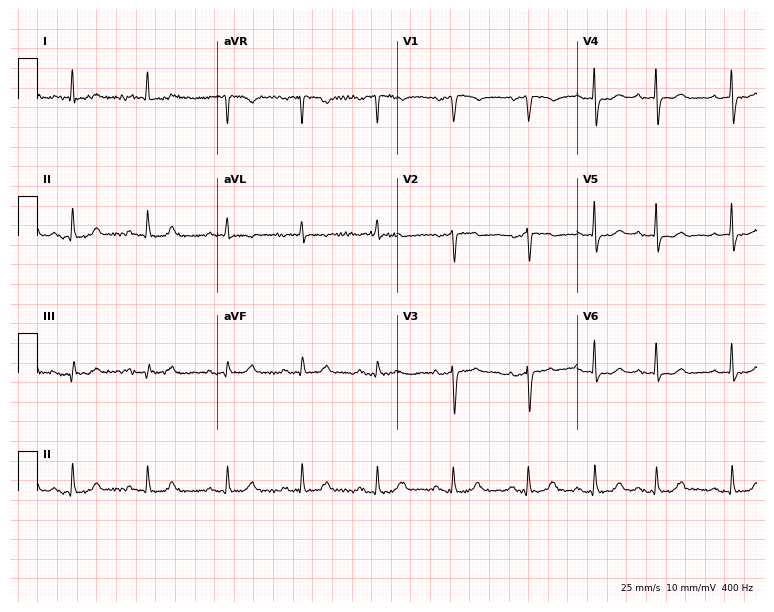
12-lead ECG from a 72-year-old female. Screened for six findings — first-degree AV block, right bundle branch block (RBBB), left bundle branch block (LBBB), sinus bradycardia, atrial fibrillation (AF), sinus tachycardia — none is recorded.